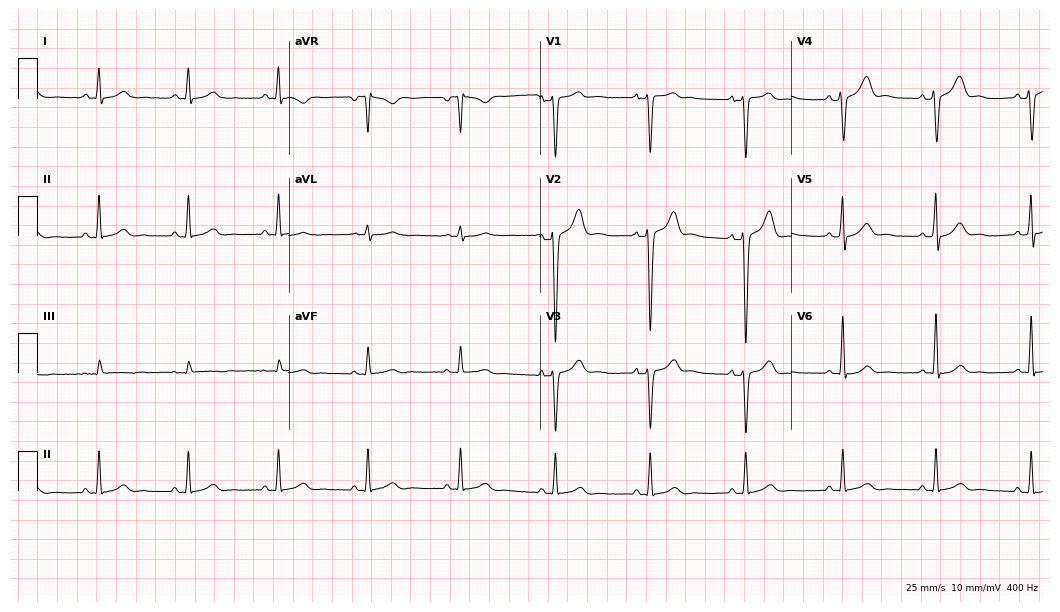
ECG — a male, 35 years old. Screened for six findings — first-degree AV block, right bundle branch block, left bundle branch block, sinus bradycardia, atrial fibrillation, sinus tachycardia — none is recorded.